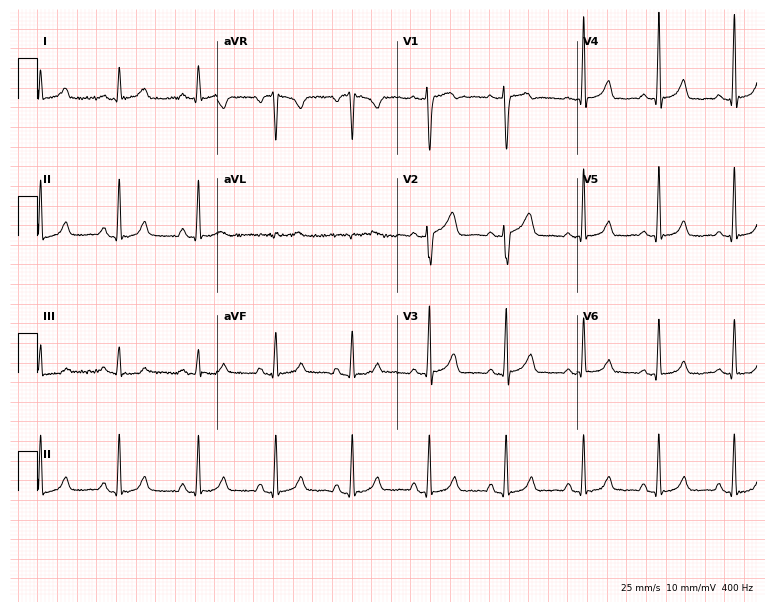
12-lead ECG (7.3-second recording at 400 Hz) from a 46-year-old female. Labelled as a normal ECG.